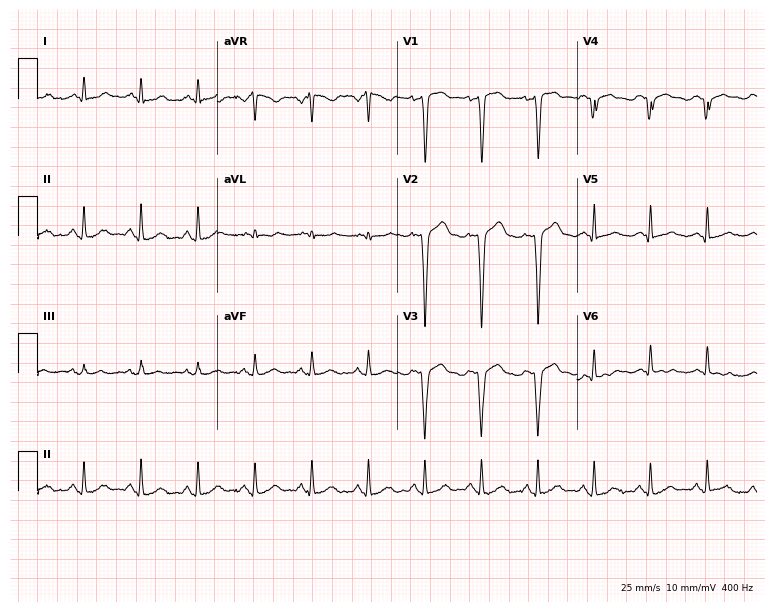
12-lead ECG from a man, 55 years old (7.3-second recording at 400 Hz). Shows sinus tachycardia (a sinus rate of 100 beats per minute or more).